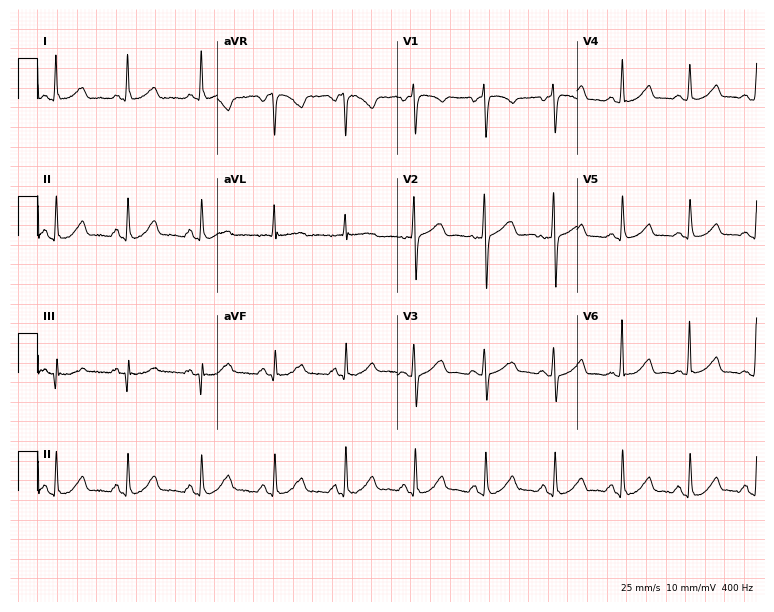
Standard 12-lead ECG recorded from a 59-year-old woman. Read as a normal ECG.